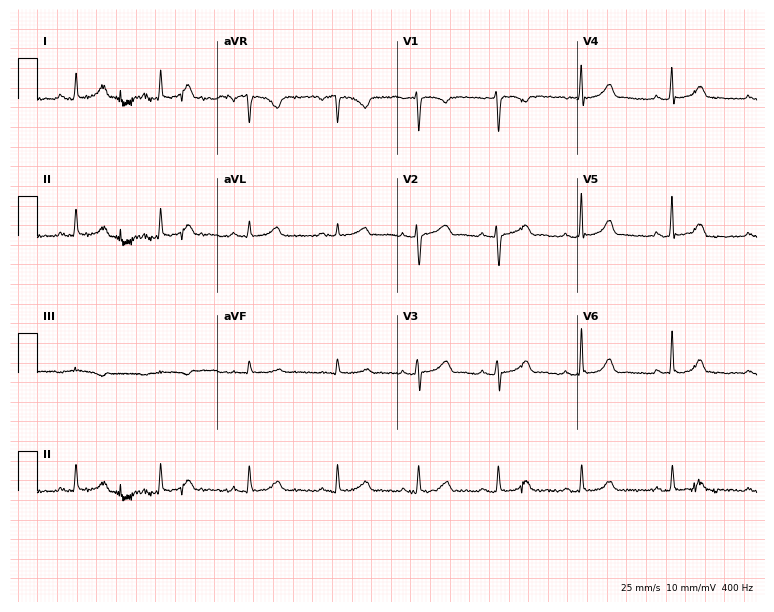
Standard 12-lead ECG recorded from a 38-year-old female. Read as a normal ECG.